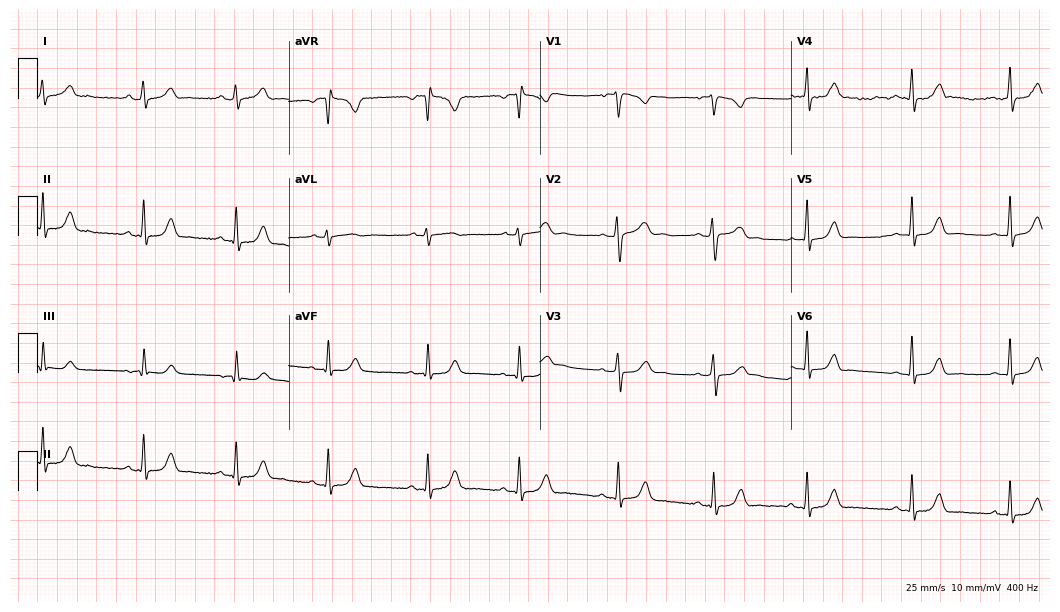
12-lead ECG from a 26-year-old female patient. Recorded interpretation: within normal limits.